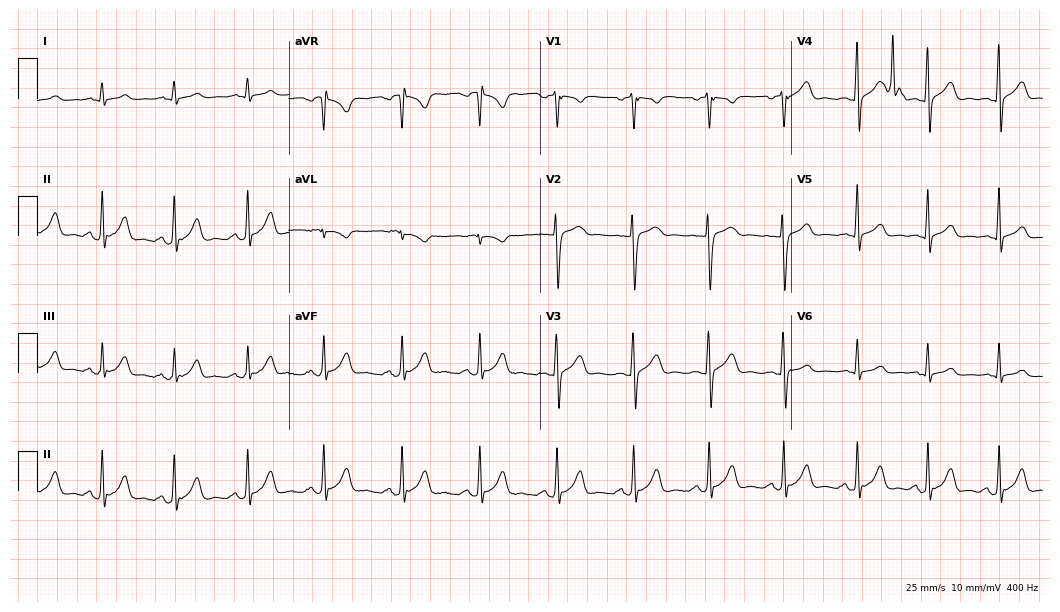
ECG (10.2-second recording at 400 Hz) — a 25-year-old male patient. Labelled as a normal ECG.